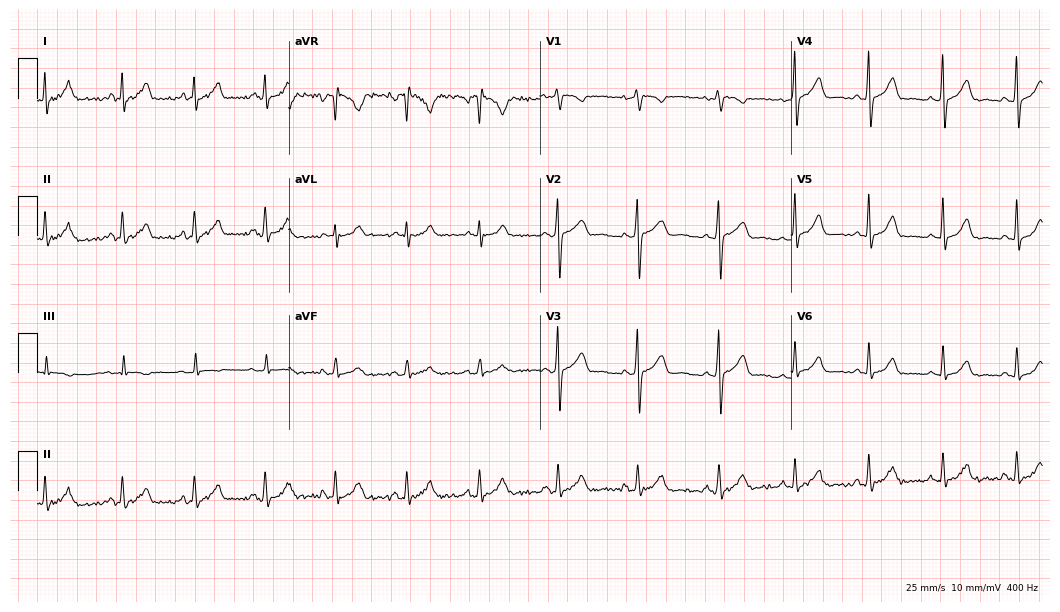
ECG (10.2-second recording at 400 Hz) — a female, 36 years old. Labelled as a normal ECG.